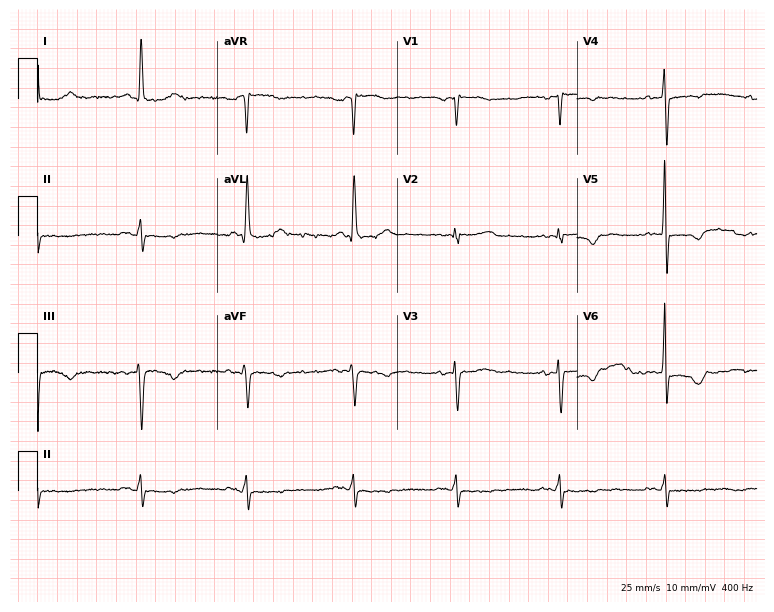
ECG — a 61-year-old female patient. Screened for six findings — first-degree AV block, right bundle branch block (RBBB), left bundle branch block (LBBB), sinus bradycardia, atrial fibrillation (AF), sinus tachycardia — none is recorded. Findings outside these six are not listed.